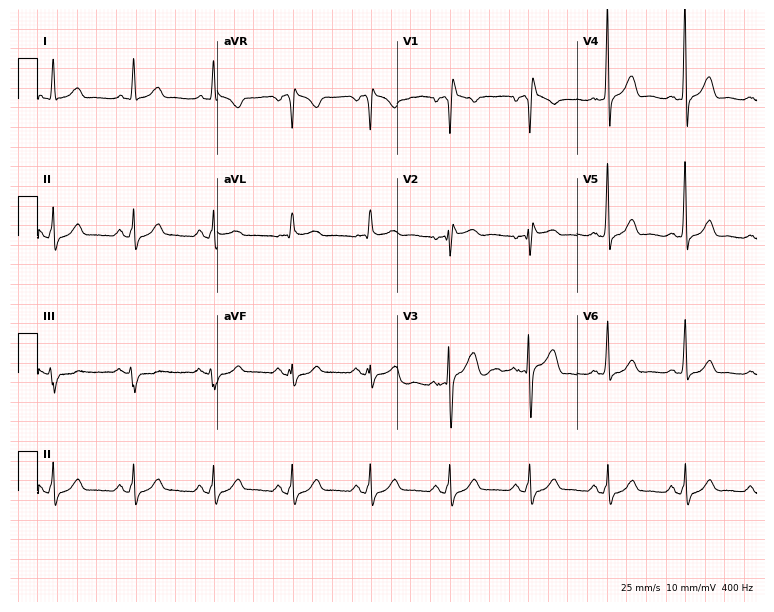
Resting 12-lead electrocardiogram (7.3-second recording at 400 Hz). Patient: a man, 71 years old. The tracing shows right bundle branch block.